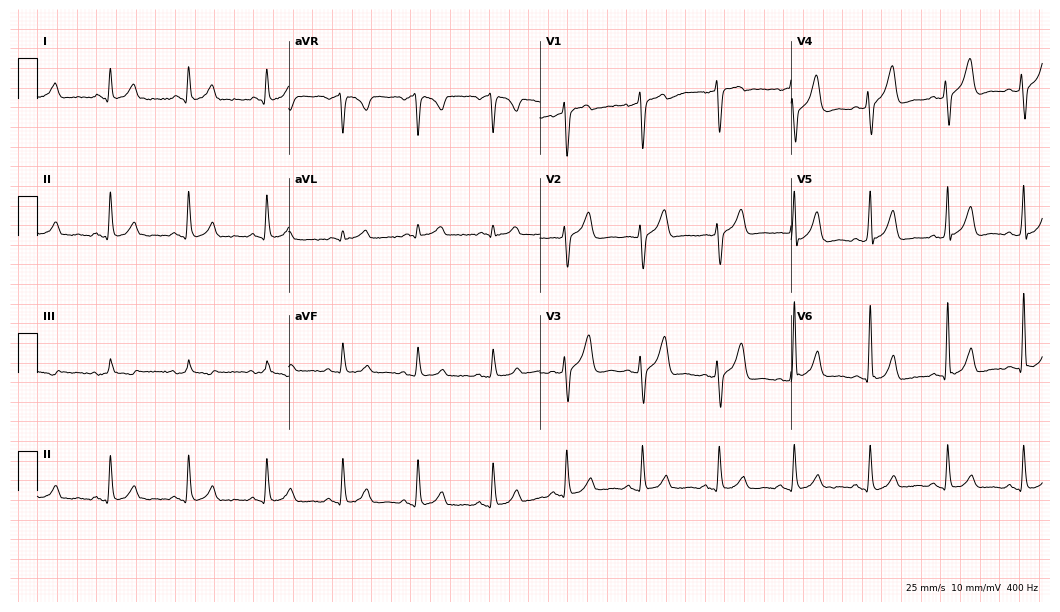
12-lead ECG (10.2-second recording at 400 Hz) from a 45-year-old male patient. Labelled as a normal ECG.